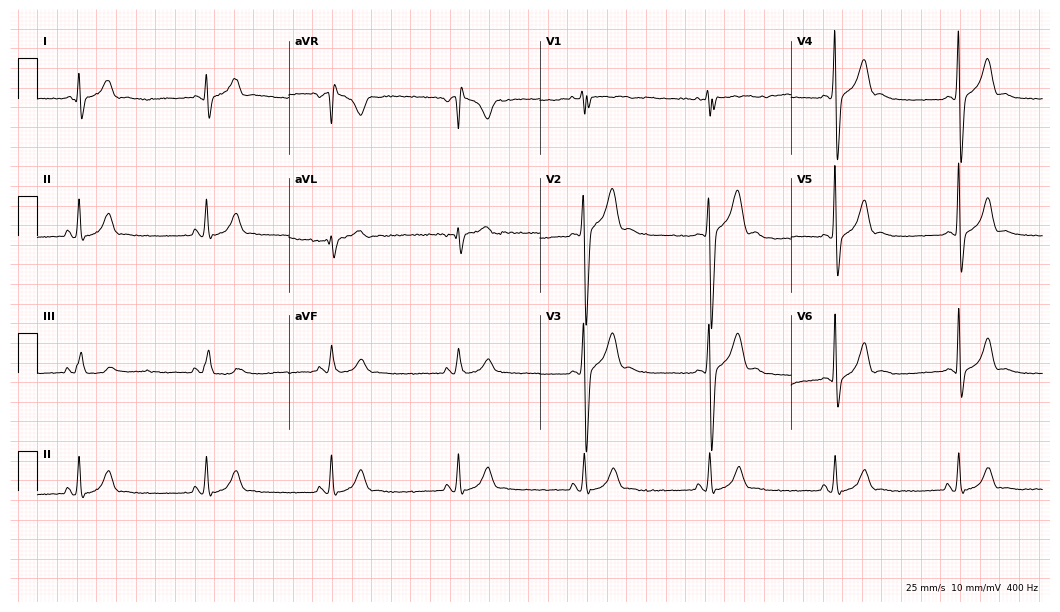
12-lead ECG (10.2-second recording at 400 Hz) from a 20-year-old male. Findings include sinus bradycardia (a sinus rate of 50 beats per minute or less).